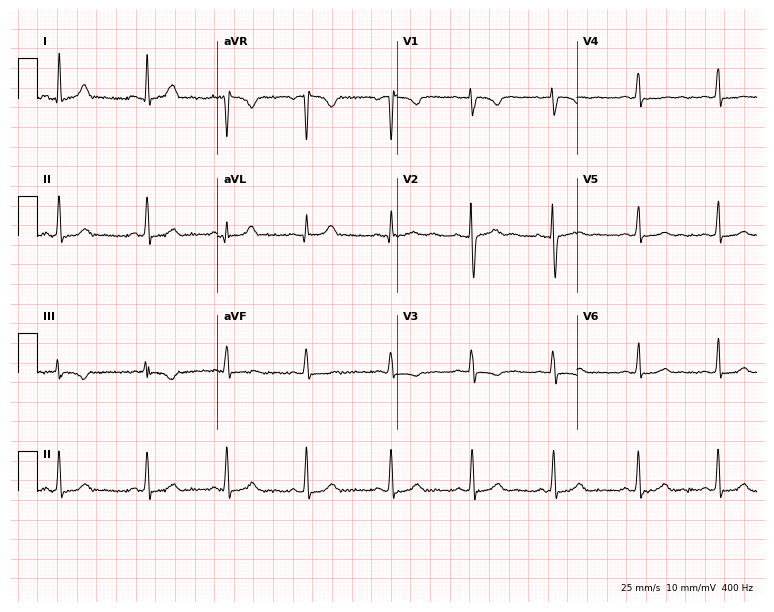
12-lead ECG (7.3-second recording at 400 Hz) from a female, 19 years old. Screened for six findings — first-degree AV block, right bundle branch block, left bundle branch block, sinus bradycardia, atrial fibrillation, sinus tachycardia — none is recorded.